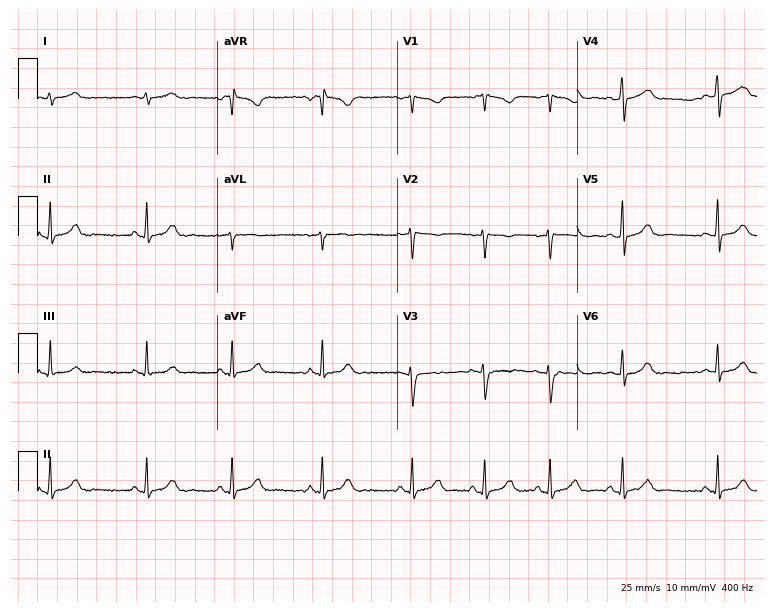
Electrocardiogram (7.3-second recording at 400 Hz), a woman, 29 years old. Of the six screened findings (first-degree AV block, right bundle branch block (RBBB), left bundle branch block (LBBB), sinus bradycardia, atrial fibrillation (AF), sinus tachycardia), none is recorded.